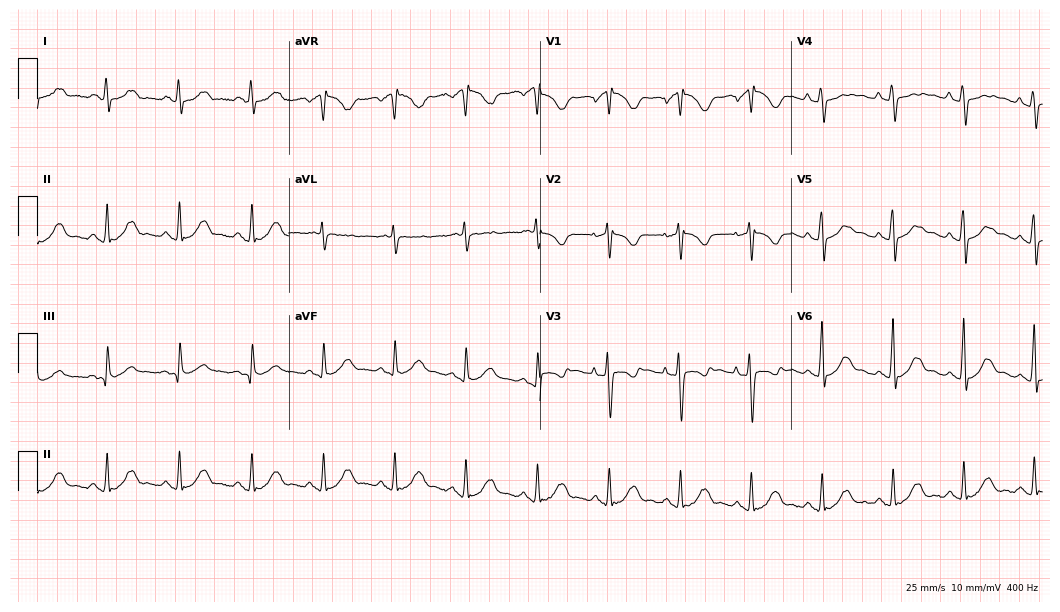
Resting 12-lead electrocardiogram (10.2-second recording at 400 Hz). Patient: a male, 40 years old. Read as a normal ECG.